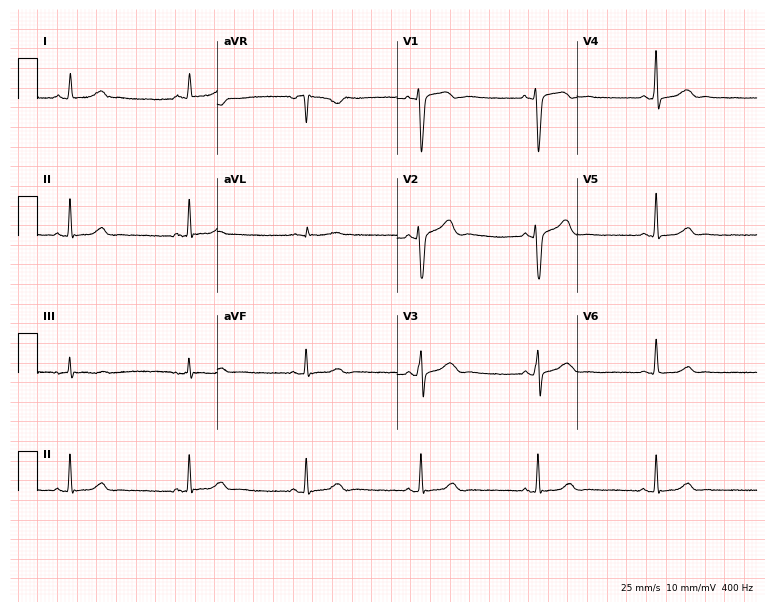
12-lead ECG from a 46-year-old female patient. Screened for six findings — first-degree AV block, right bundle branch block (RBBB), left bundle branch block (LBBB), sinus bradycardia, atrial fibrillation (AF), sinus tachycardia — none is recorded.